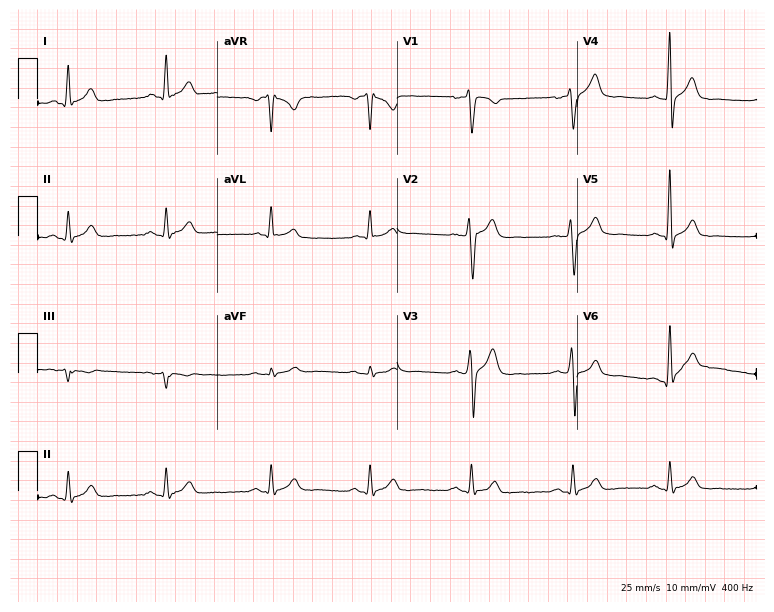
ECG — a 28-year-old man. Screened for six findings — first-degree AV block, right bundle branch block, left bundle branch block, sinus bradycardia, atrial fibrillation, sinus tachycardia — none is recorded.